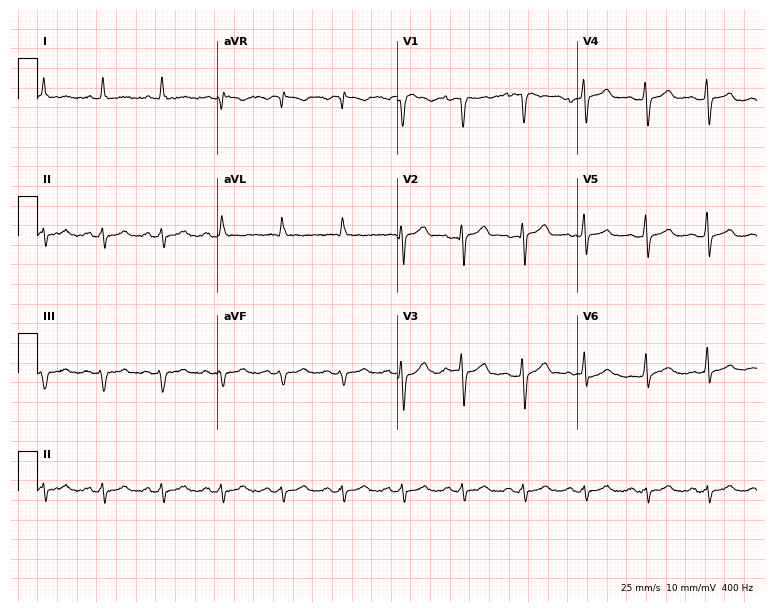
12-lead ECG from a male patient, 57 years old (7.3-second recording at 400 Hz). No first-degree AV block, right bundle branch block, left bundle branch block, sinus bradycardia, atrial fibrillation or sinus tachycardia recorded for this tracing.